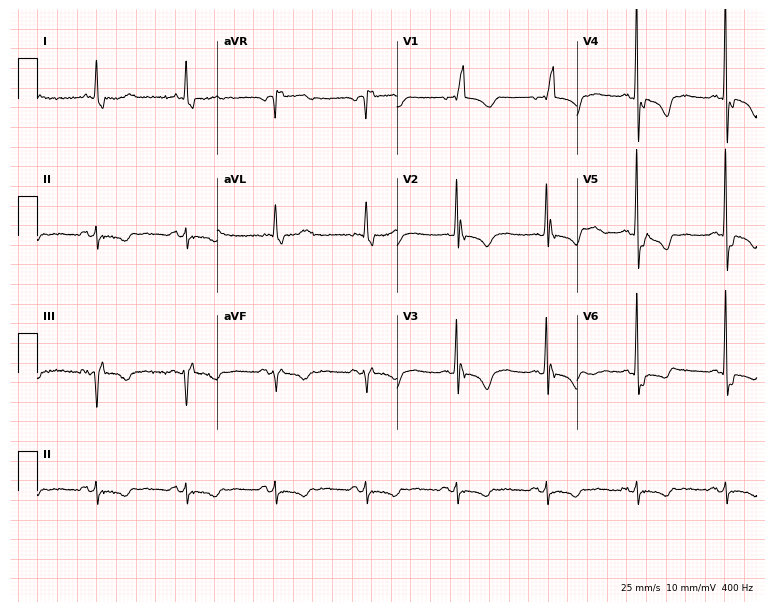
ECG — a woman, 84 years old. Findings include right bundle branch block (RBBB).